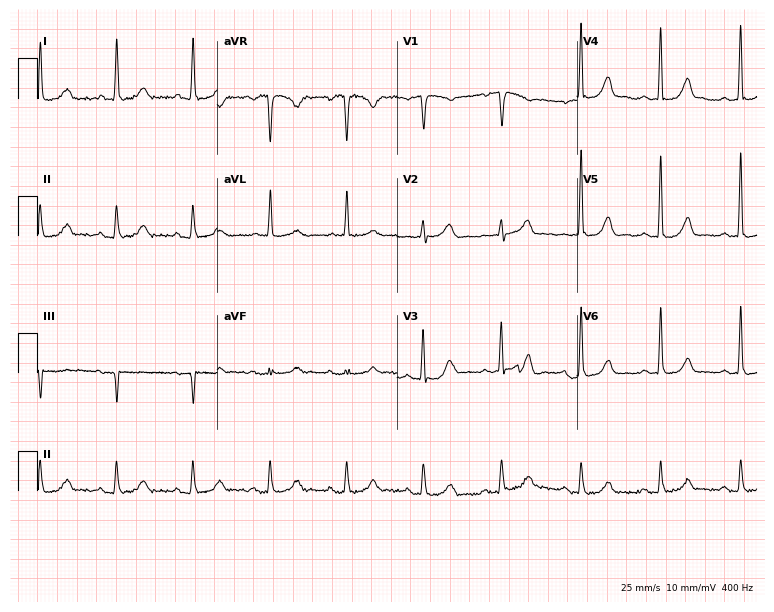
Electrocardiogram (7.3-second recording at 400 Hz), a 65-year-old woman. Overall reading on record: normal ECG.